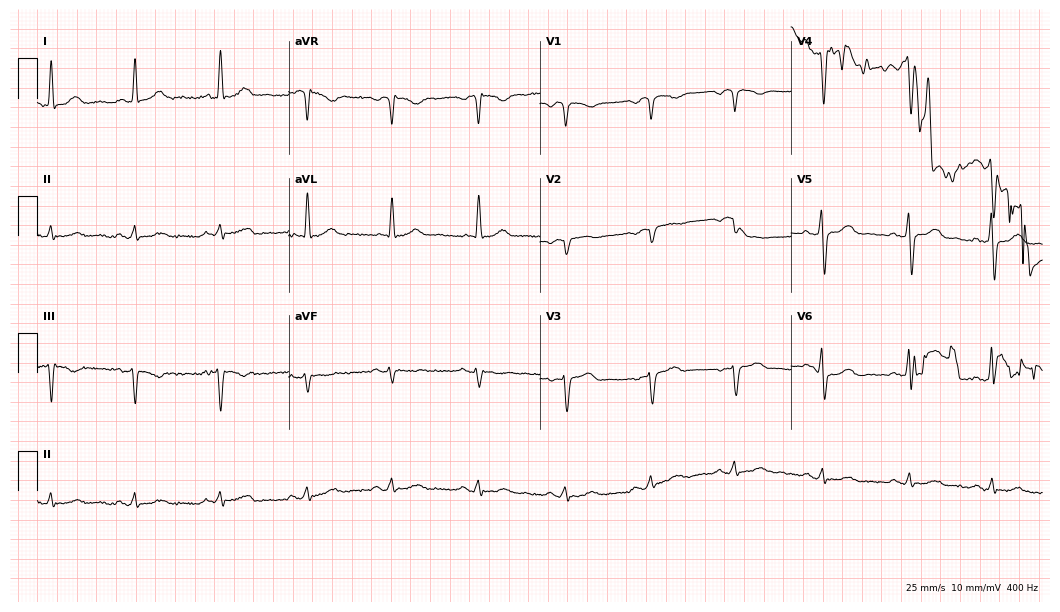
Resting 12-lead electrocardiogram (10.2-second recording at 400 Hz). Patient: a 54-year-old man. None of these six findings is recorded: first-degree AV block, right bundle branch block, left bundle branch block, sinus bradycardia, atrial fibrillation, sinus tachycardia.